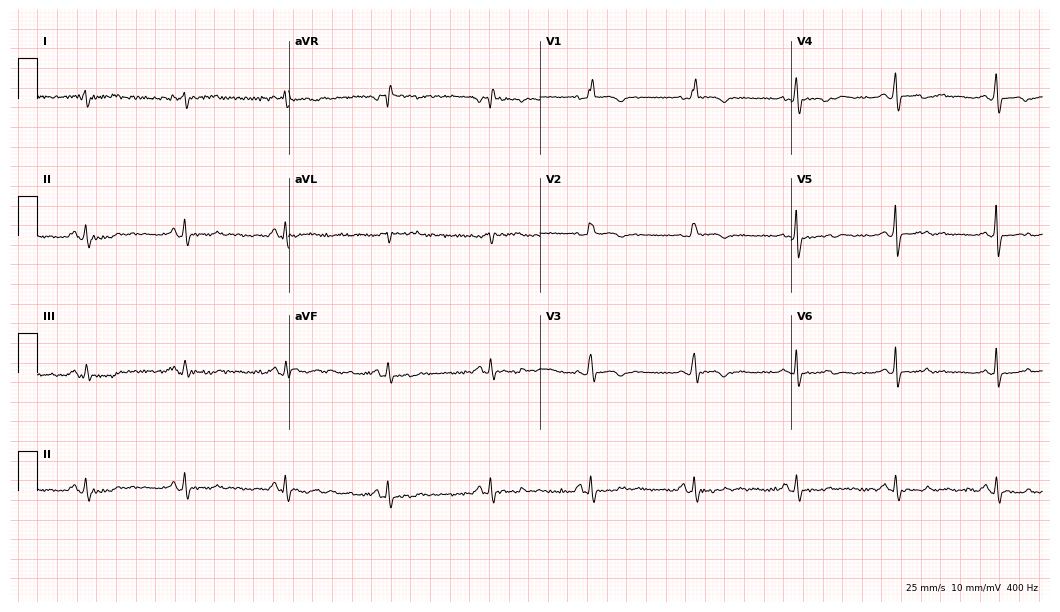
12-lead ECG (10.2-second recording at 400 Hz) from a woman, 64 years old. Screened for six findings — first-degree AV block, right bundle branch block (RBBB), left bundle branch block (LBBB), sinus bradycardia, atrial fibrillation (AF), sinus tachycardia — none is recorded.